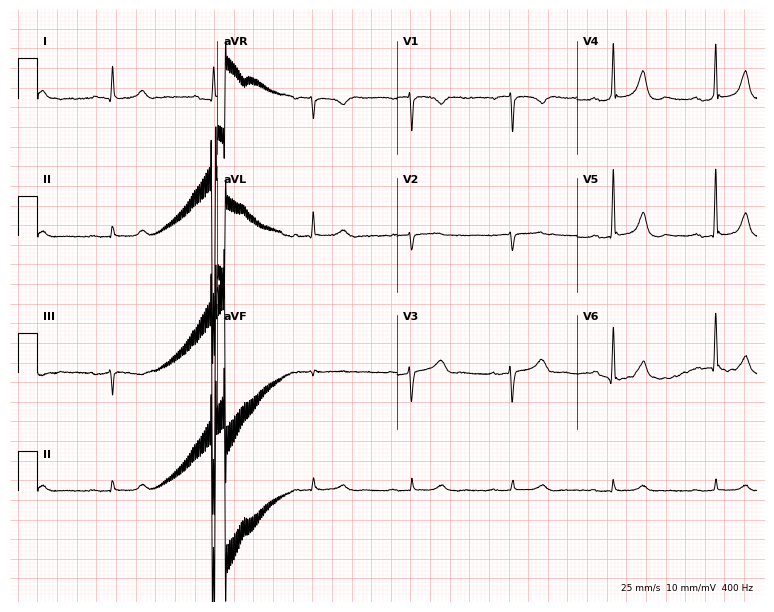
ECG — a 64-year-old female patient. Screened for six findings — first-degree AV block, right bundle branch block (RBBB), left bundle branch block (LBBB), sinus bradycardia, atrial fibrillation (AF), sinus tachycardia — none is recorded. Other findings, if any, are not listed.